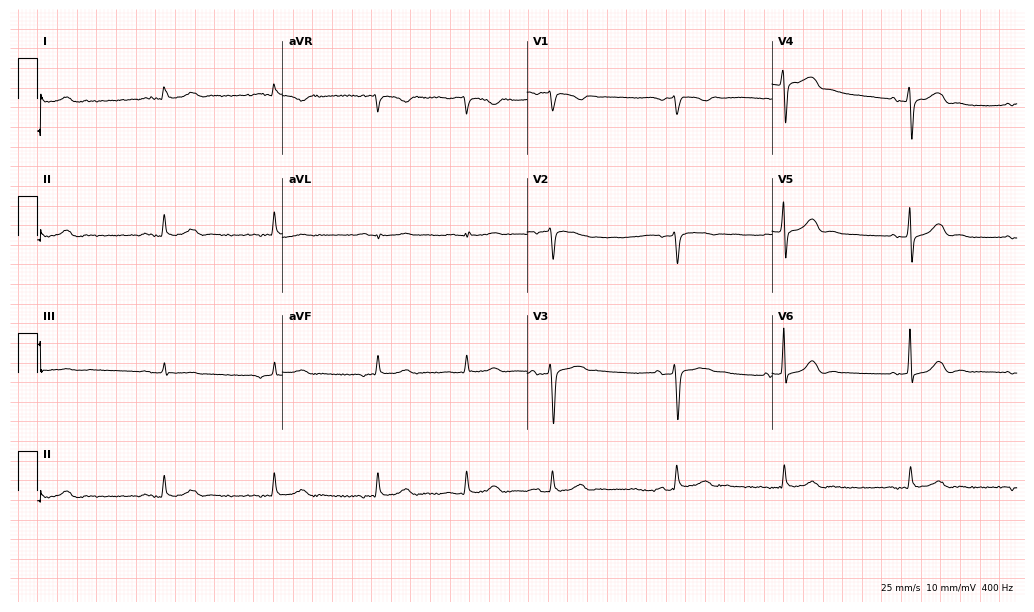
Resting 12-lead electrocardiogram. Patient: a male, 80 years old. None of these six findings is recorded: first-degree AV block, right bundle branch block, left bundle branch block, sinus bradycardia, atrial fibrillation, sinus tachycardia. Findings outside these six are not listed.